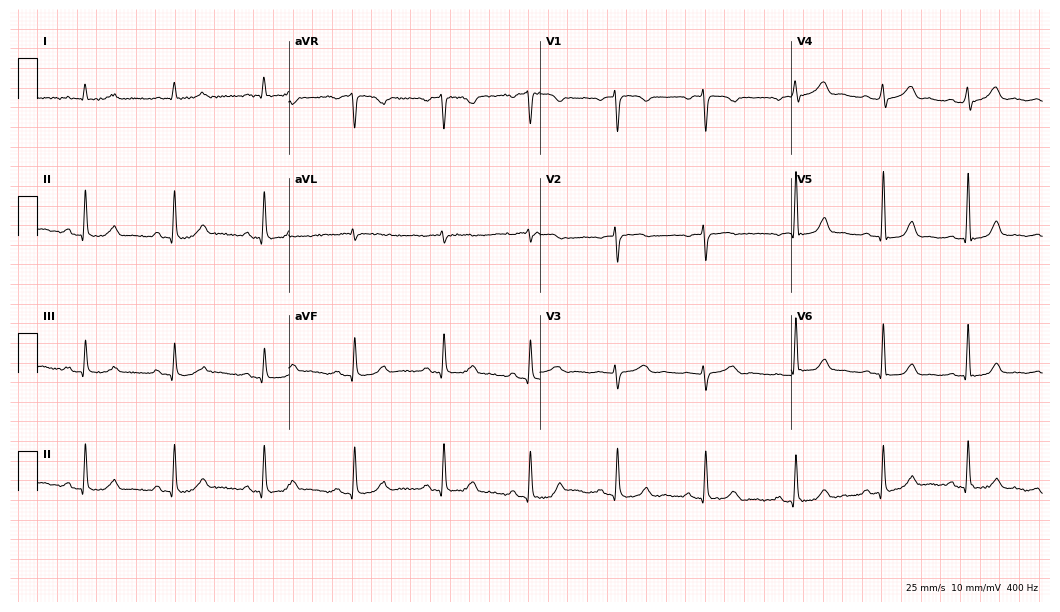
ECG — a female, 51 years old. Labelled as a normal ECG.